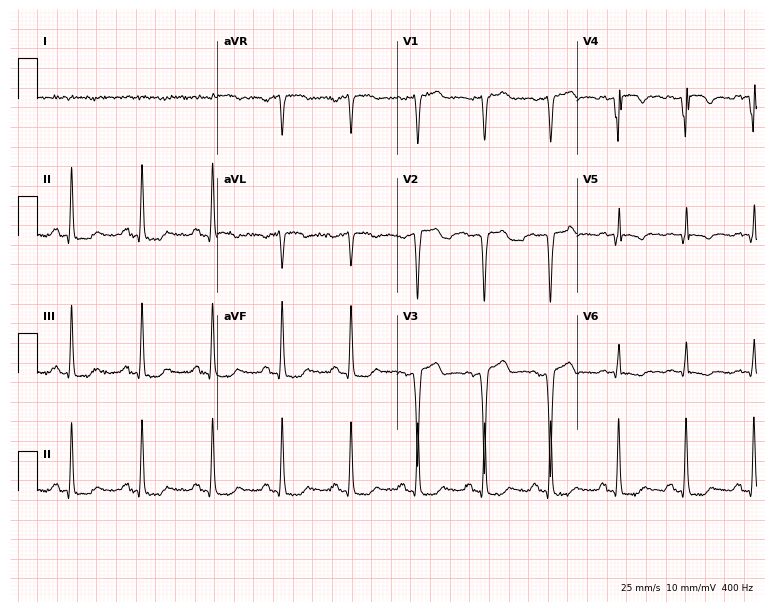
12-lead ECG from a man, 71 years old. No first-degree AV block, right bundle branch block, left bundle branch block, sinus bradycardia, atrial fibrillation or sinus tachycardia recorded for this tracing. Findings outside these six are not listed.